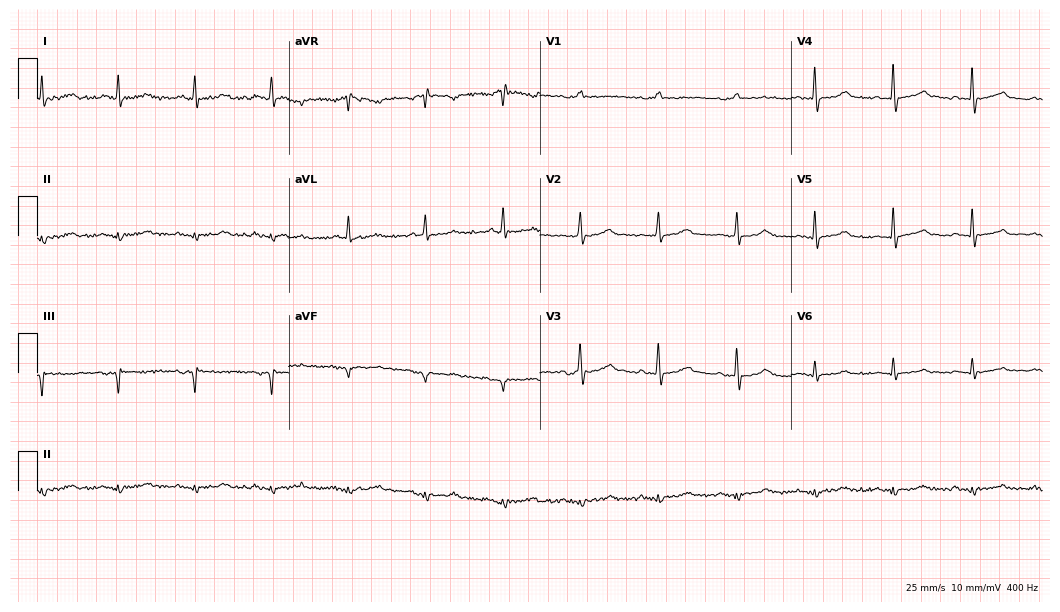
12-lead ECG from a 74-year-old male patient (10.2-second recording at 400 Hz). No first-degree AV block, right bundle branch block (RBBB), left bundle branch block (LBBB), sinus bradycardia, atrial fibrillation (AF) or sinus tachycardia recorded for this tracing.